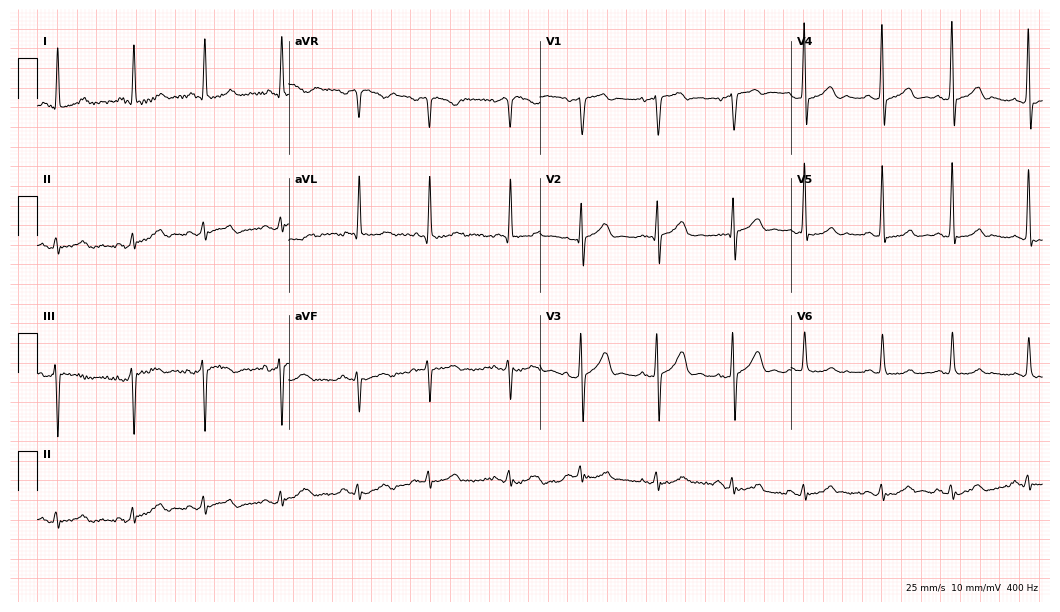
12-lead ECG from a 66-year-old male patient (10.2-second recording at 400 Hz). Recorded interpretation: within normal limits.